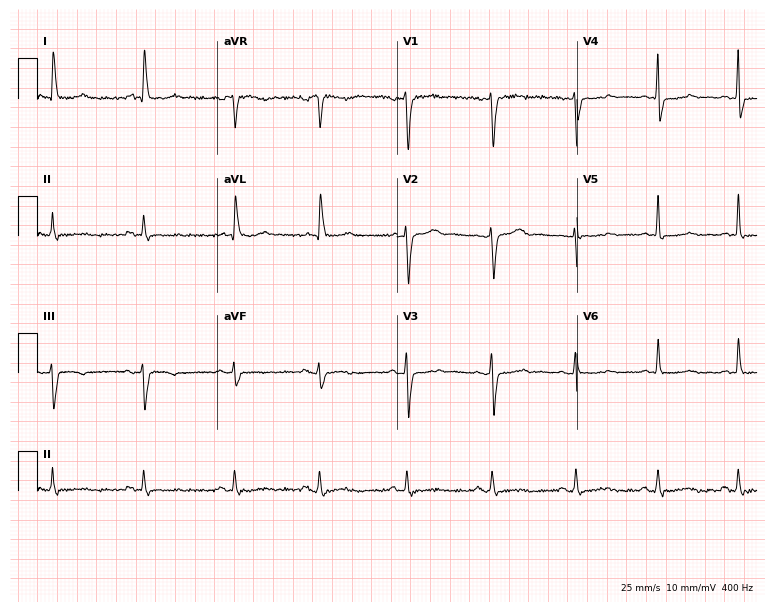
12-lead ECG from a 67-year-old woman. Screened for six findings — first-degree AV block, right bundle branch block, left bundle branch block, sinus bradycardia, atrial fibrillation, sinus tachycardia — none is recorded.